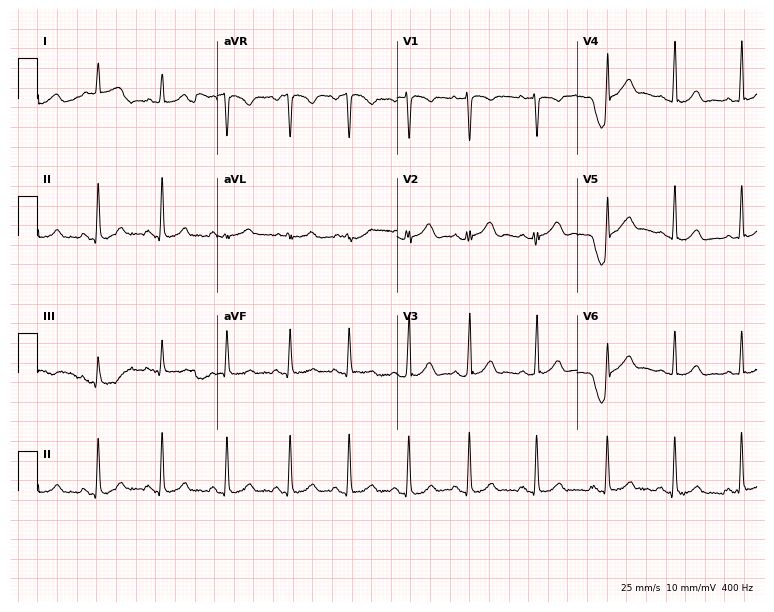
12-lead ECG (7.3-second recording at 400 Hz) from a woman, 32 years old. Labelled as a normal ECG.